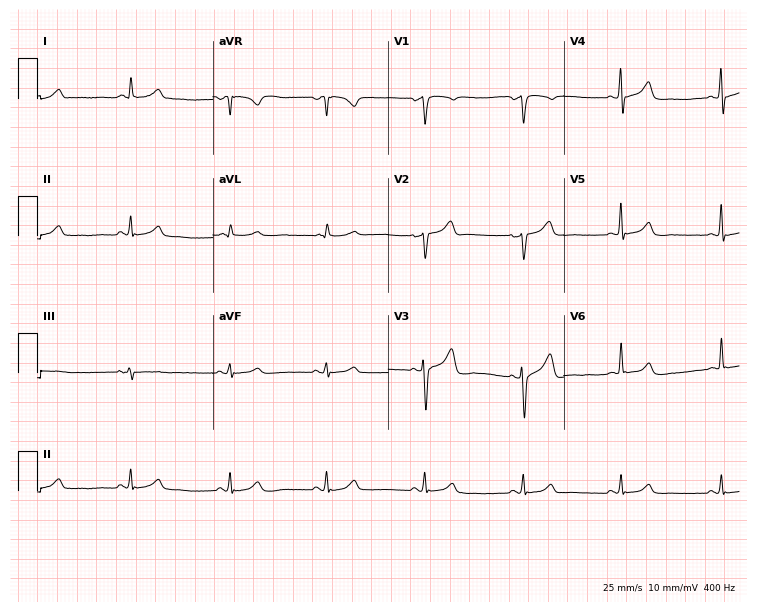
Electrocardiogram (7.2-second recording at 400 Hz), a male patient, 60 years old. Of the six screened findings (first-degree AV block, right bundle branch block, left bundle branch block, sinus bradycardia, atrial fibrillation, sinus tachycardia), none is recorded.